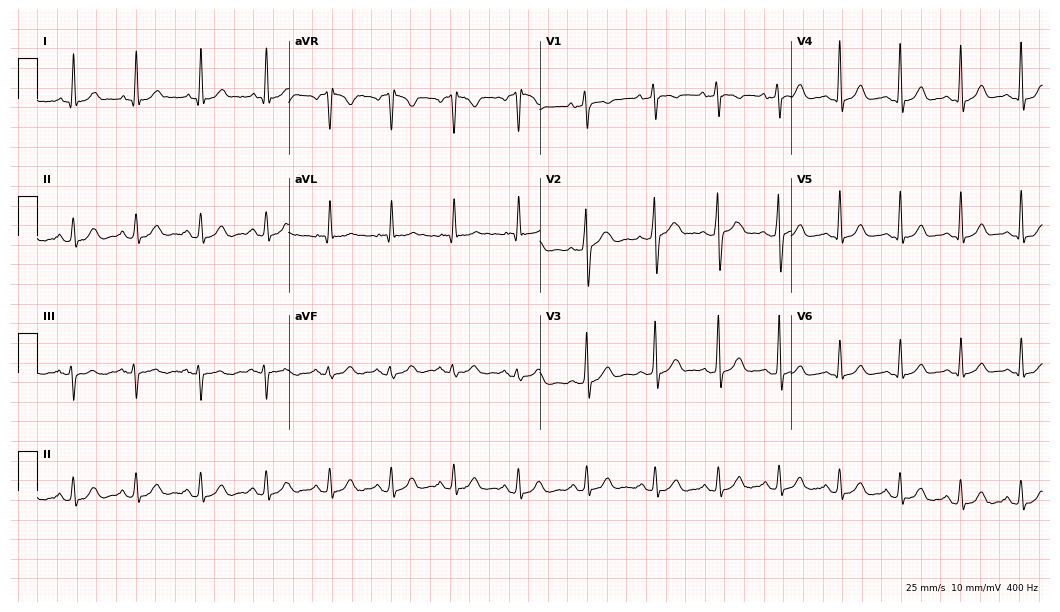
Resting 12-lead electrocardiogram (10.2-second recording at 400 Hz). Patient: a male, 43 years old. Read as a normal ECG.